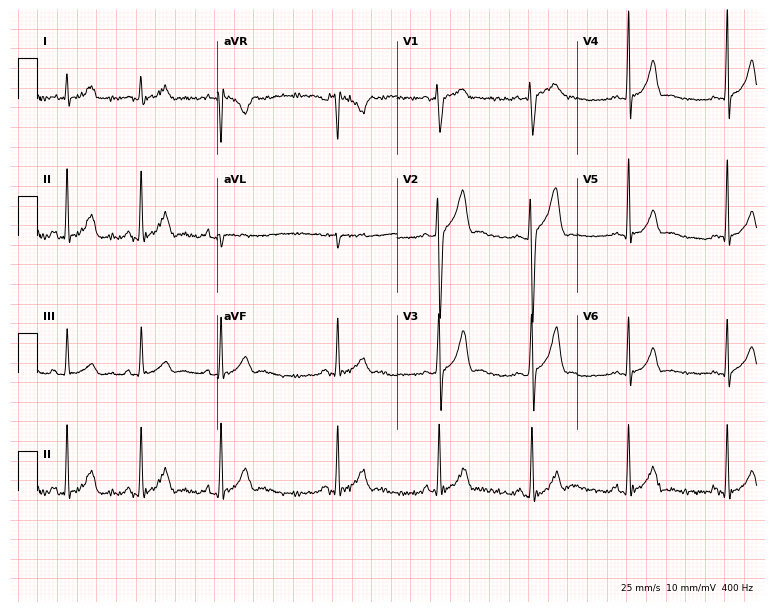
12-lead ECG from a male patient, 17 years old. Screened for six findings — first-degree AV block, right bundle branch block, left bundle branch block, sinus bradycardia, atrial fibrillation, sinus tachycardia — none is recorded.